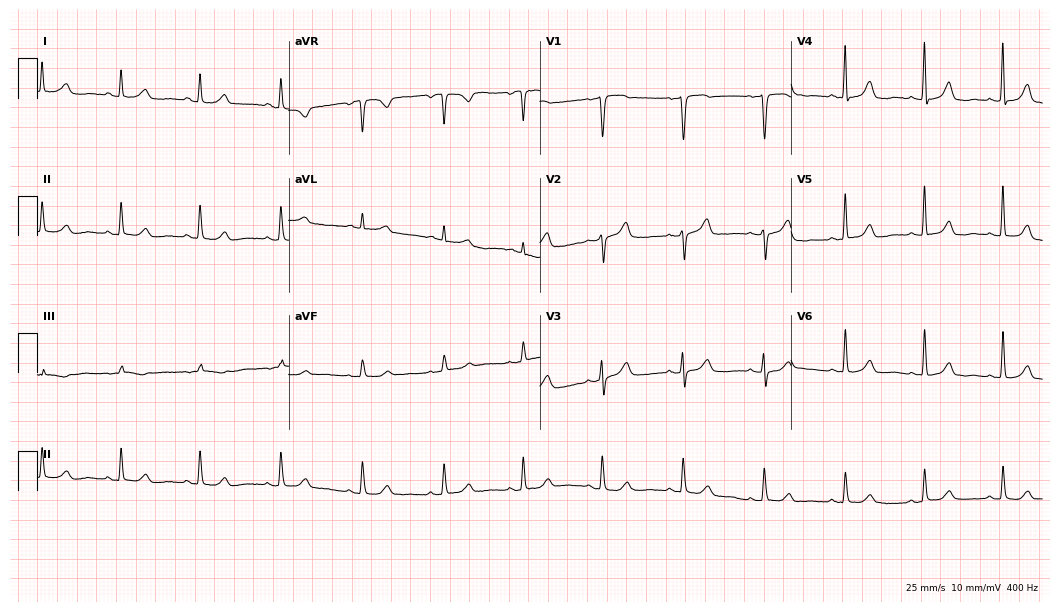
12-lead ECG from a female patient, 79 years old. Labelled as a normal ECG.